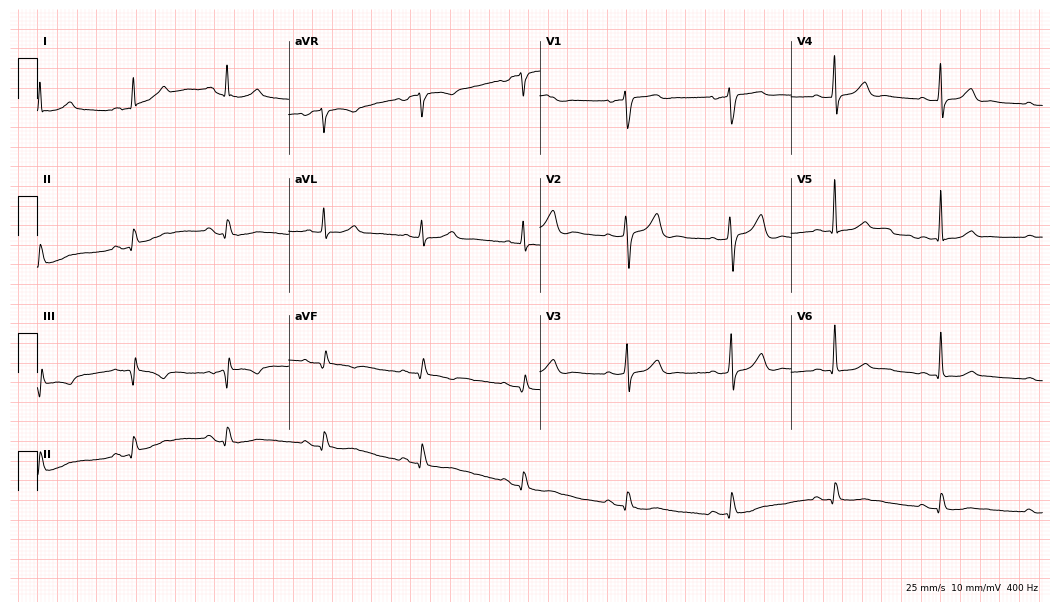
12-lead ECG from a 71-year-old male (10.2-second recording at 400 Hz). No first-degree AV block, right bundle branch block (RBBB), left bundle branch block (LBBB), sinus bradycardia, atrial fibrillation (AF) or sinus tachycardia recorded for this tracing.